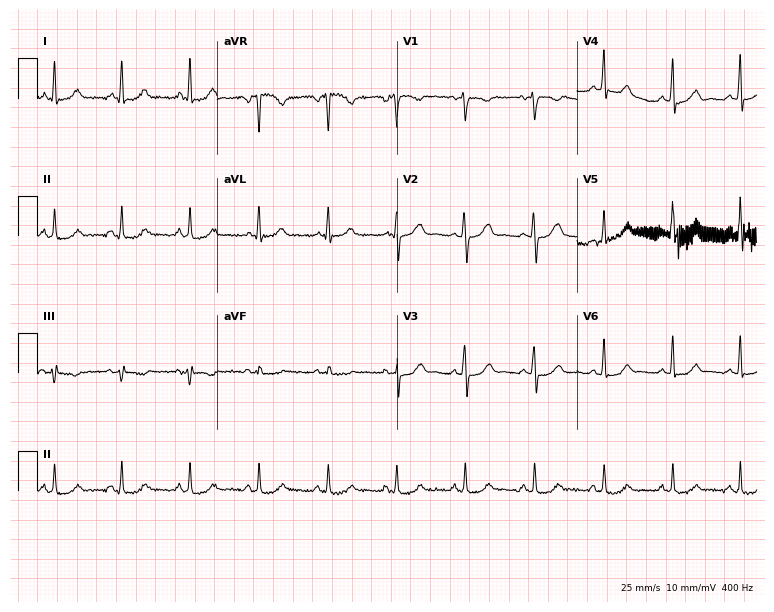
Standard 12-lead ECG recorded from a female patient, 30 years old. None of these six findings is recorded: first-degree AV block, right bundle branch block, left bundle branch block, sinus bradycardia, atrial fibrillation, sinus tachycardia.